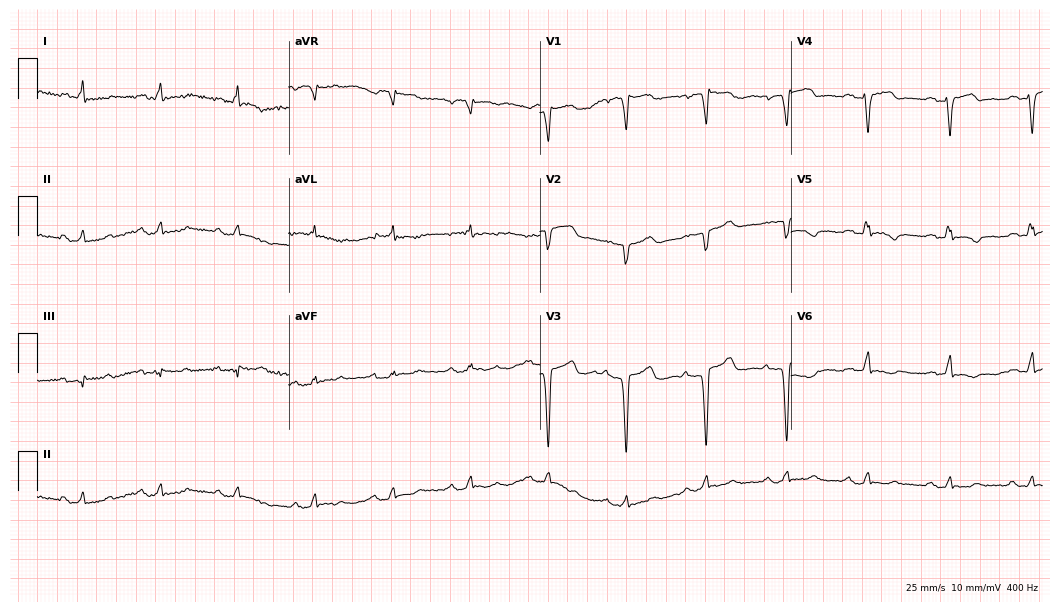
12-lead ECG (10.2-second recording at 400 Hz) from a 77-year-old female. Screened for six findings — first-degree AV block, right bundle branch block, left bundle branch block, sinus bradycardia, atrial fibrillation, sinus tachycardia — none is recorded.